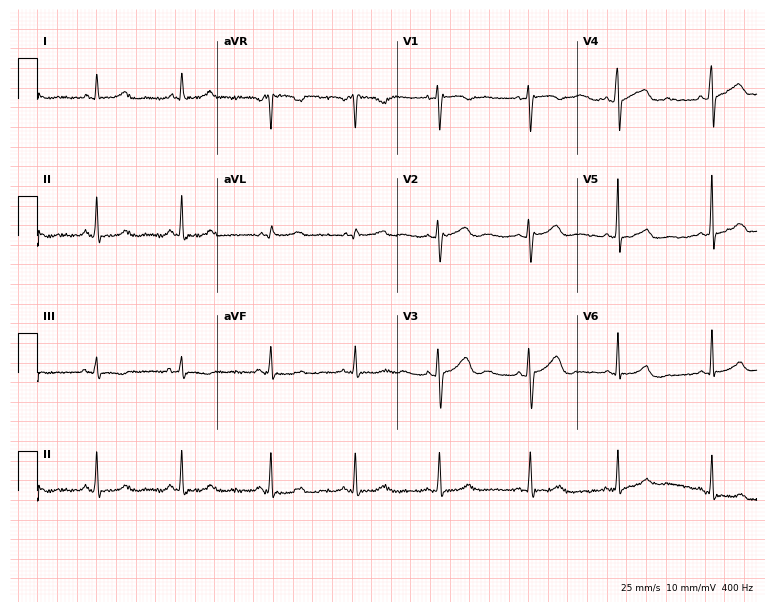
Standard 12-lead ECG recorded from a 34-year-old female patient. Read as a normal ECG.